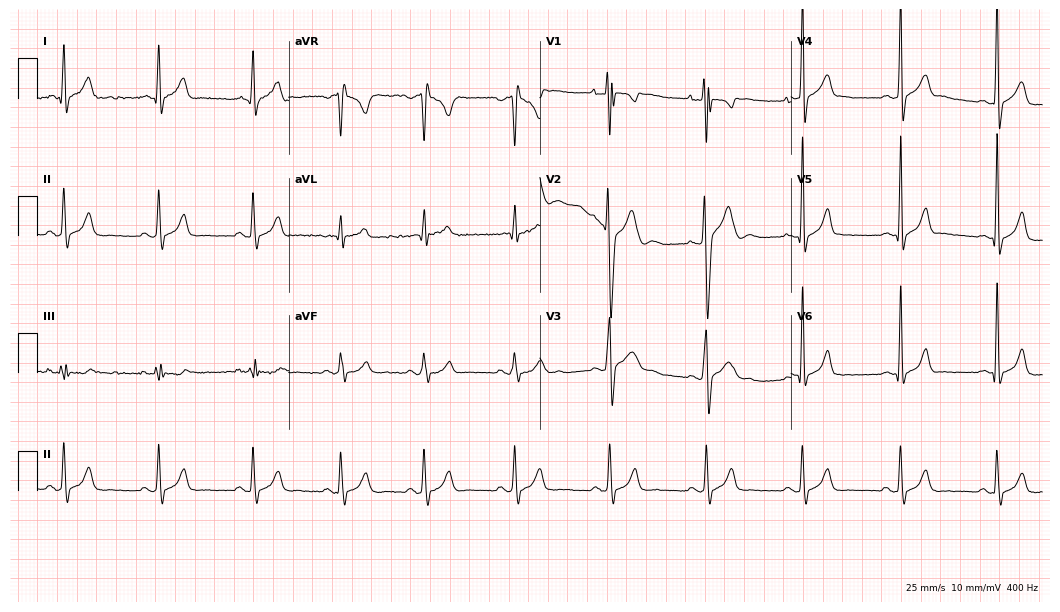
12-lead ECG from a male, 19 years old. Labelled as a normal ECG.